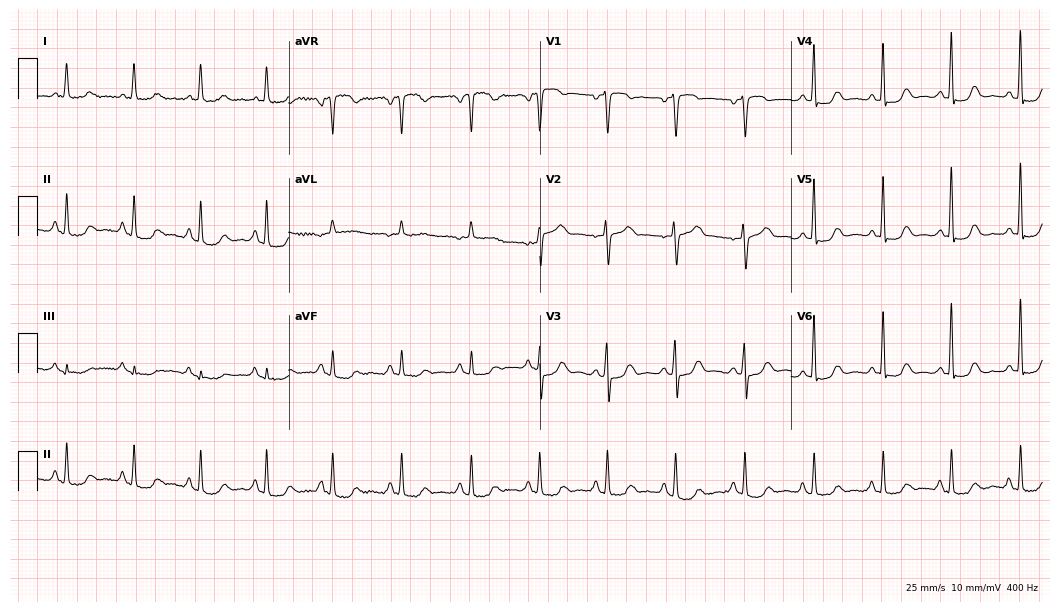
Electrocardiogram, a woman, 69 years old. Of the six screened findings (first-degree AV block, right bundle branch block, left bundle branch block, sinus bradycardia, atrial fibrillation, sinus tachycardia), none is recorded.